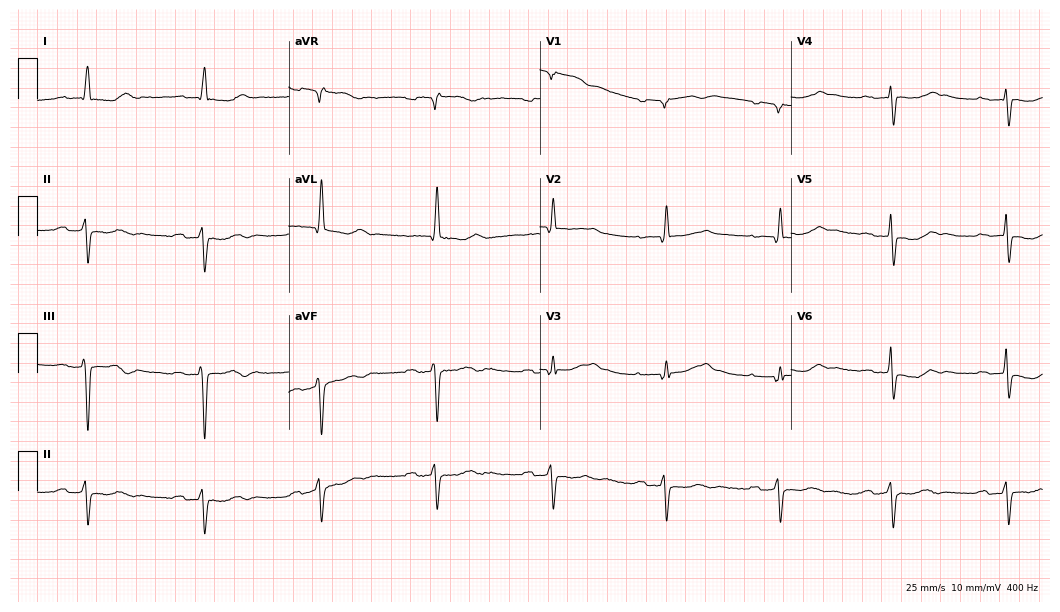
Electrocardiogram (10.2-second recording at 400 Hz), a 76-year-old male. Interpretation includes first-degree AV block.